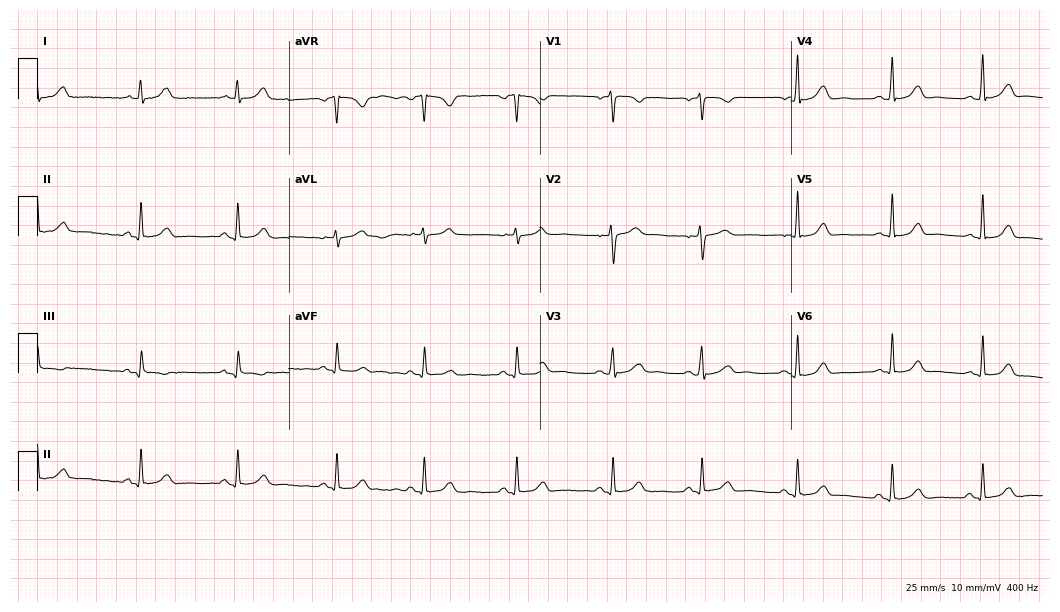
Resting 12-lead electrocardiogram (10.2-second recording at 400 Hz). Patient: a female, 30 years old. None of these six findings is recorded: first-degree AV block, right bundle branch block (RBBB), left bundle branch block (LBBB), sinus bradycardia, atrial fibrillation (AF), sinus tachycardia.